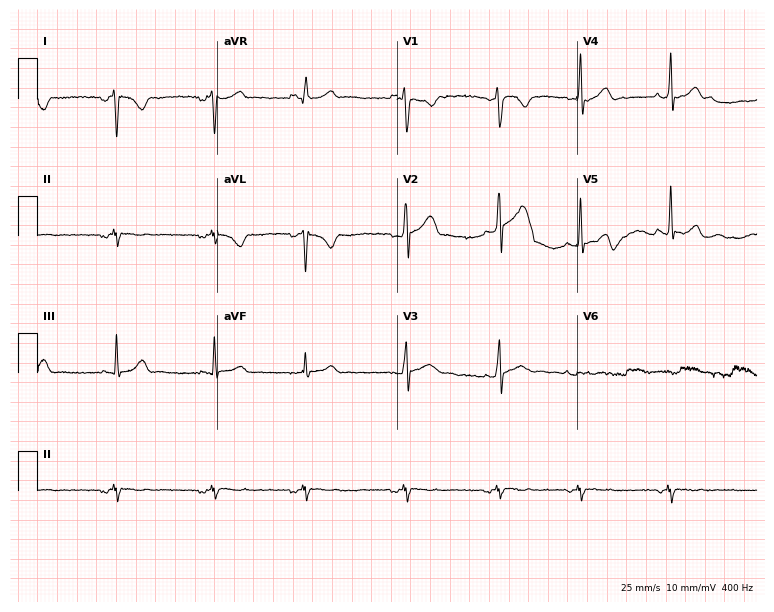
12-lead ECG from a male patient, 17 years old. No first-degree AV block, right bundle branch block, left bundle branch block, sinus bradycardia, atrial fibrillation or sinus tachycardia recorded for this tracing. Findings outside these six are not listed.